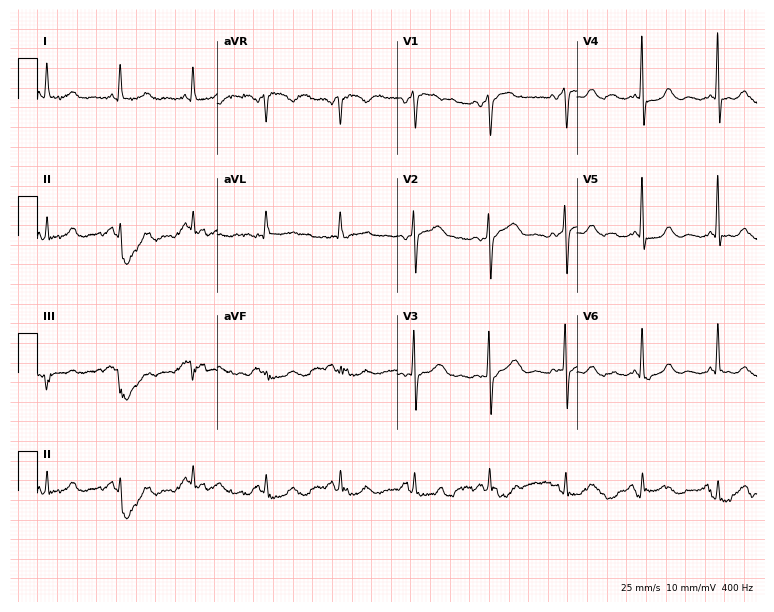
Standard 12-lead ECG recorded from a 78-year-old female patient (7.3-second recording at 400 Hz). None of these six findings is recorded: first-degree AV block, right bundle branch block (RBBB), left bundle branch block (LBBB), sinus bradycardia, atrial fibrillation (AF), sinus tachycardia.